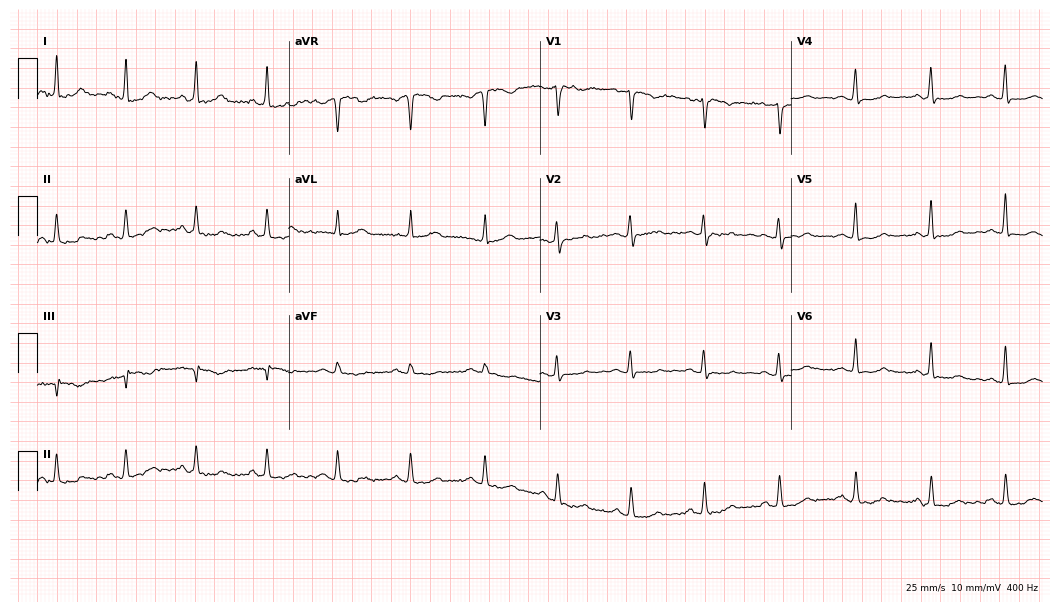
Electrocardiogram (10.2-second recording at 400 Hz), a 52-year-old female patient. Of the six screened findings (first-degree AV block, right bundle branch block (RBBB), left bundle branch block (LBBB), sinus bradycardia, atrial fibrillation (AF), sinus tachycardia), none is recorded.